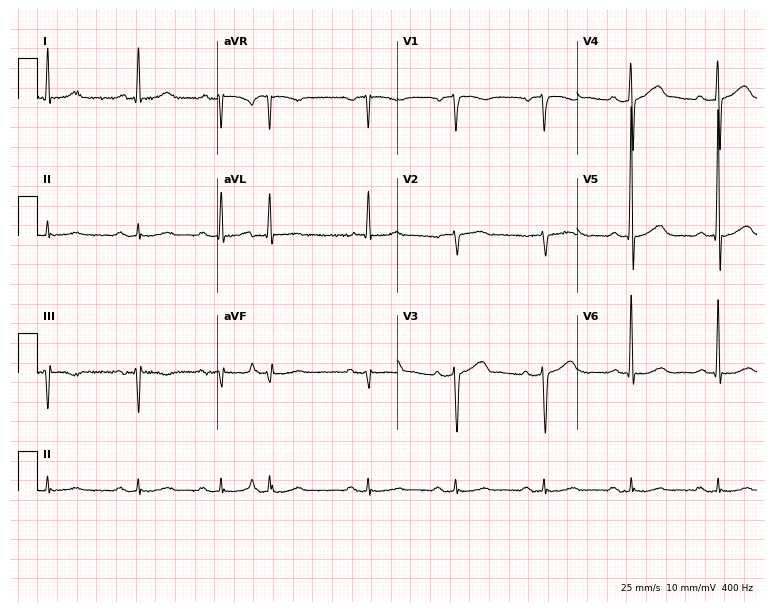
Resting 12-lead electrocardiogram. Patient: a 74-year-old man. None of these six findings is recorded: first-degree AV block, right bundle branch block, left bundle branch block, sinus bradycardia, atrial fibrillation, sinus tachycardia.